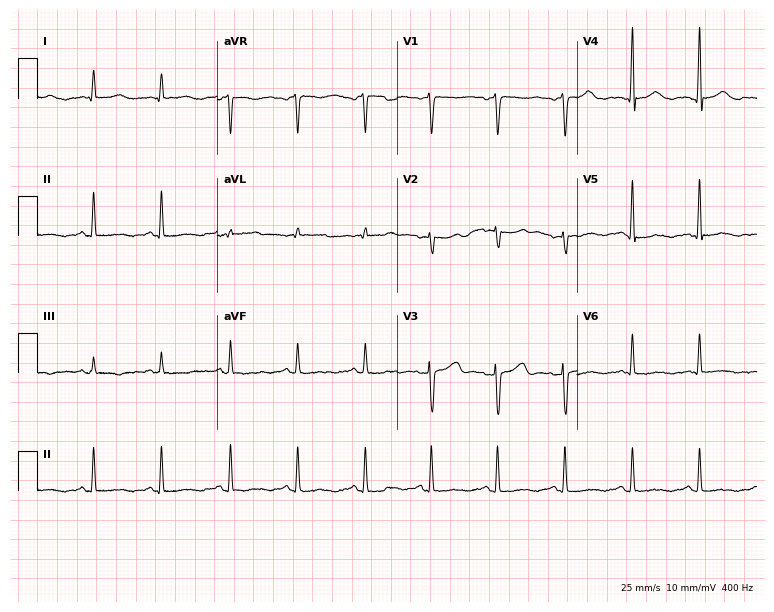
Standard 12-lead ECG recorded from a female patient, 51 years old. None of these six findings is recorded: first-degree AV block, right bundle branch block, left bundle branch block, sinus bradycardia, atrial fibrillation, sinus tachycardia.